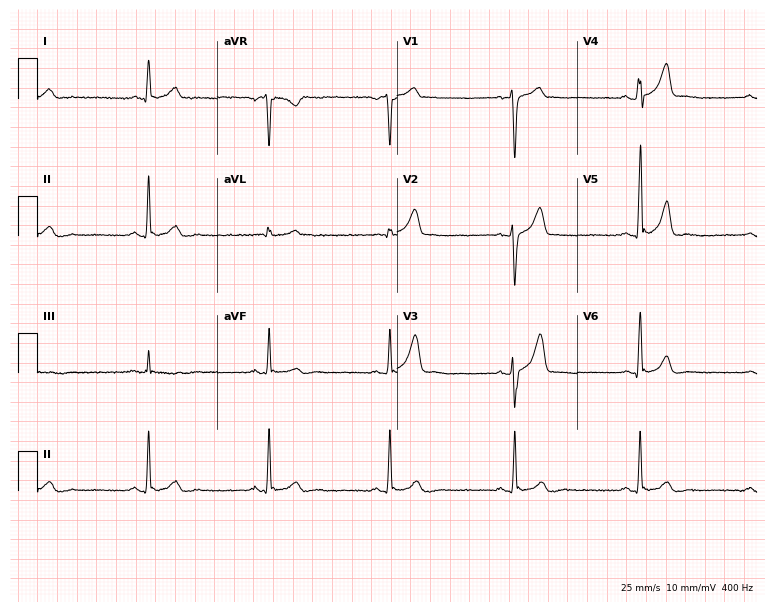
ECG — a male, 49 years old. Findings include sinus bradycardia (a sinus rate of 50 beats per minute or less).